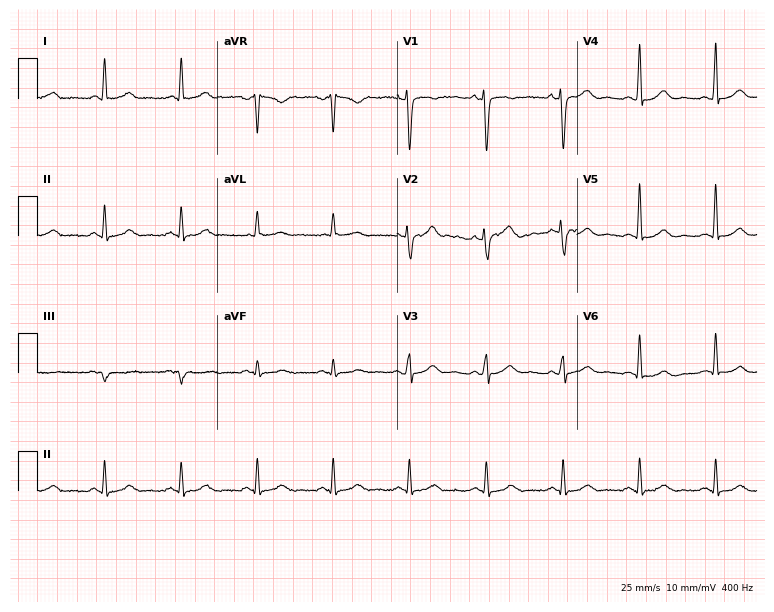
12-lead ECG from a 61-year-old male patient (7.3-second recording at 400 Hz). Recorded interpretation: within normal limits.